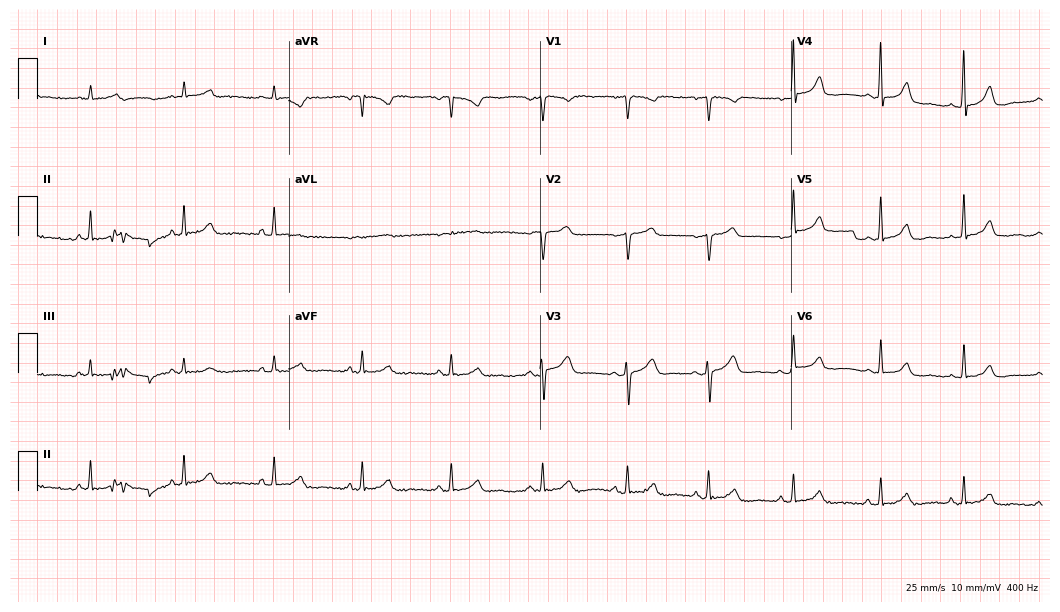
Resting 12-lead electrocardiogram. Patient: a 41-year-old female. Read as a normal ECG.